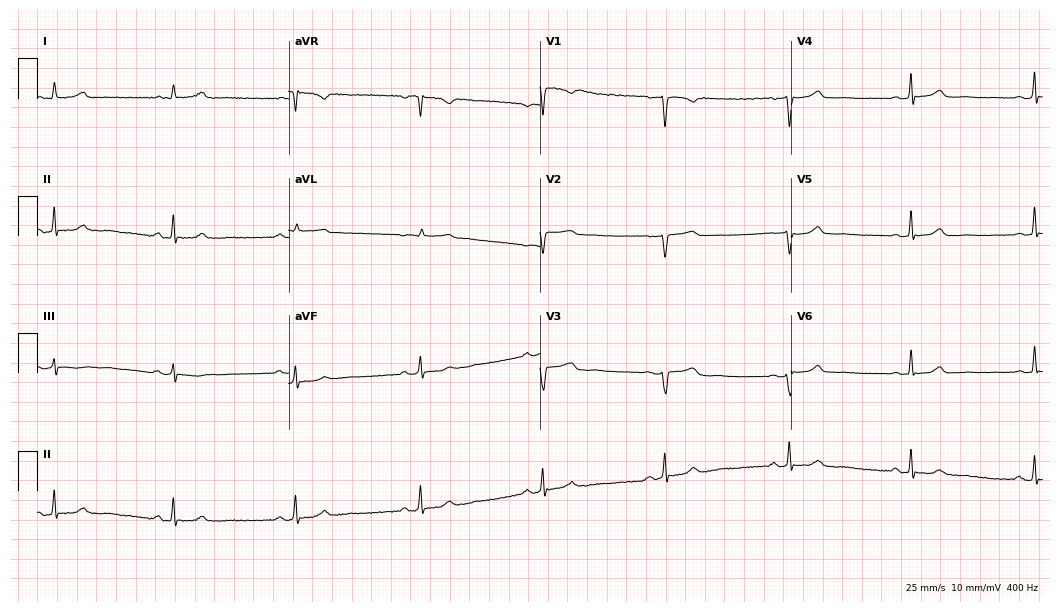
ECG (10.2-second recording at 400 Hz) — a woman, 43 years old. Findings include sinus bradycardia (a sinus rate of 50 beats per minute or less).